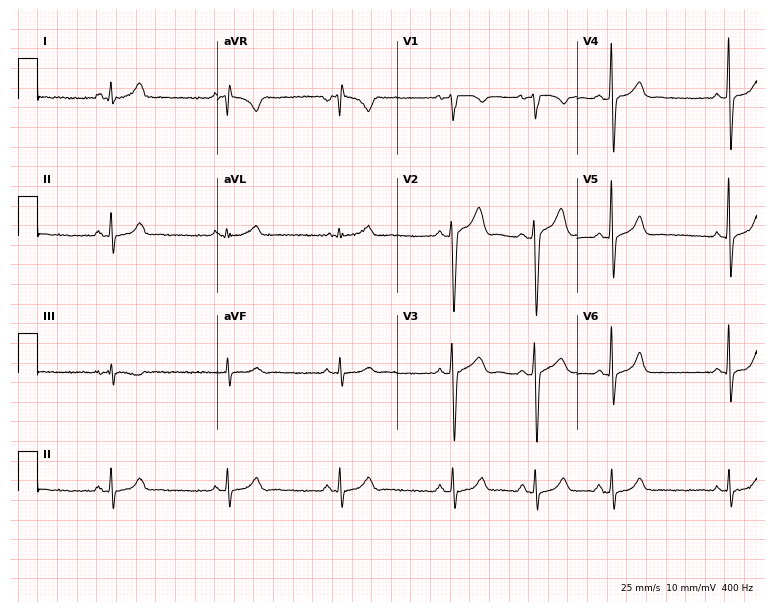
ECG — a 35-year-old male patient. Labelled as a normal ECG.